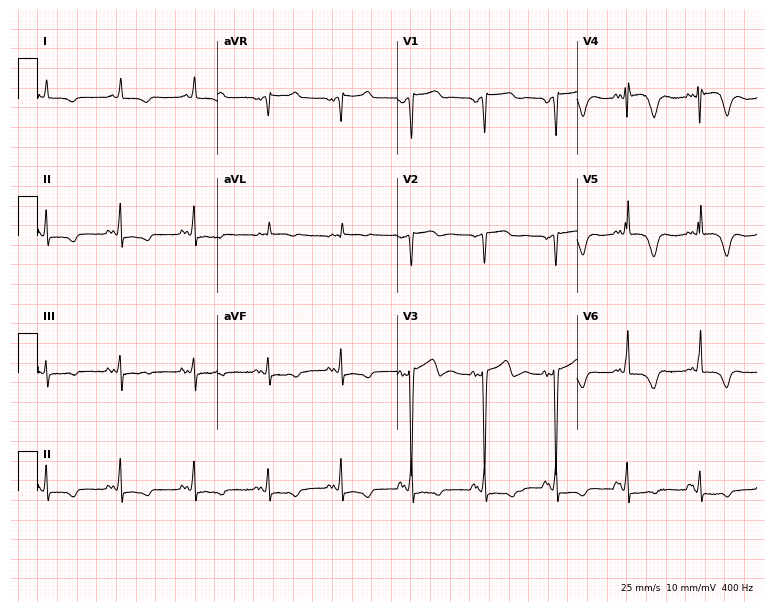
12-lead ECG (7.3-second recording at 400 Hz) from an 83-year-old male patient. Screened for six findings — first-degree AV block, right bundle branch block (RBBB), left bundle branch block (LBBB), sinus bradycardia, atrial fibrillation (AF), sinus tachycardia — none is recorded.